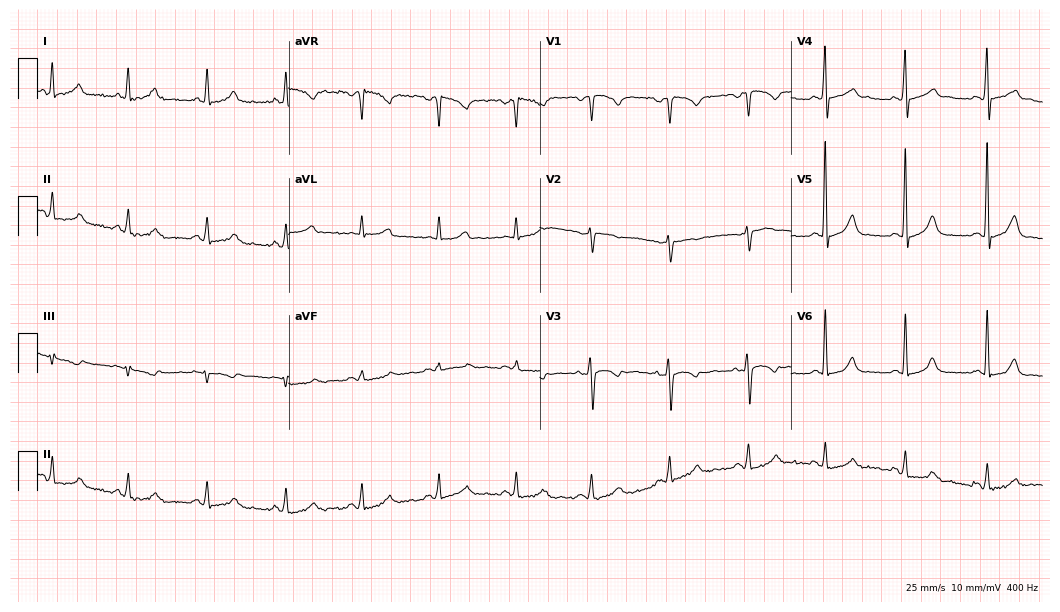
Electrocardiogram (10.2-second recording at 400 Hz), a woman, 48 years old. Of the six screened findings (first-degree AV block, right bundle branch block, left bundle branch block, sinus bradycardia, atrial fibrillation, sinus tachycardia), none is recorded. Findings outside these six are not listed.